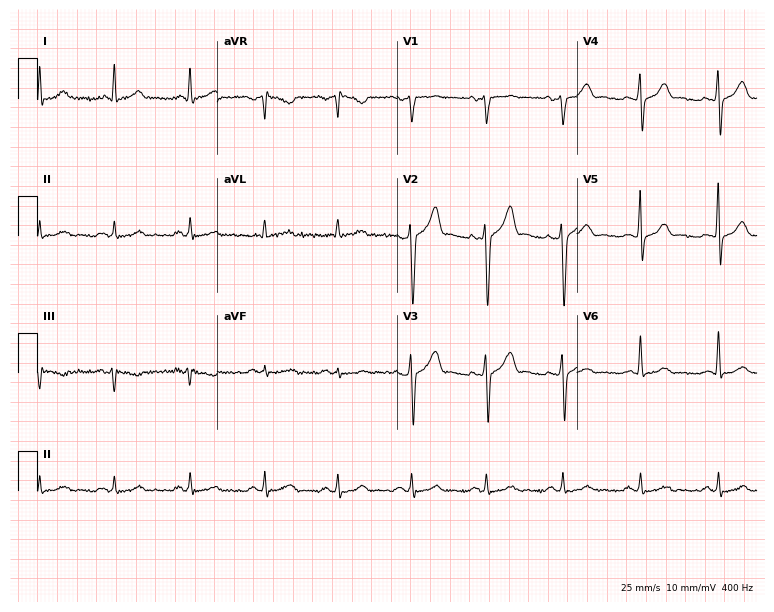
Standard 12-lead ECG recorded from a man, 51 years old. Read as a normal ECG.